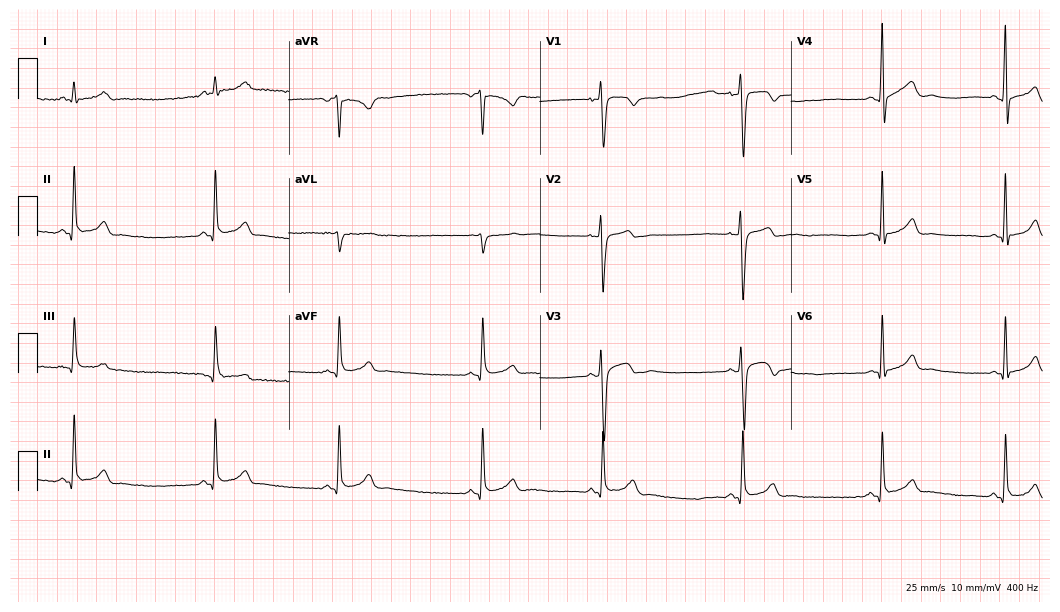
Standard 12-lead ECG recorded from a 17-year-old male patient. None of these six findings is recorded: first-degree AV block, right bundle branch block (RBBB), left bundle branch block (LBBB), sinus bradycardia, atrial fibrillation (AF), sinus tachycardia.